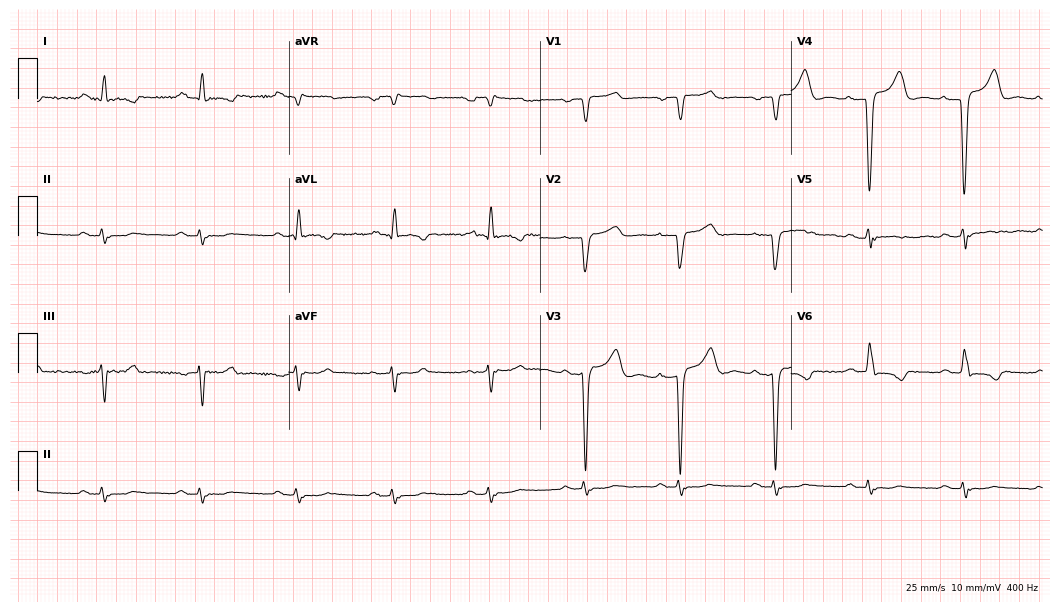
Resting 12-lead electrocardiogram. Patient: a man, 46 years old. None of these six findings is recorded: first-degree AV block, right bundle branch block, left bundle branch block, sinus bradycardia, atrial fibrillation, sinus tachycardia. Findings outside these six are not listed.